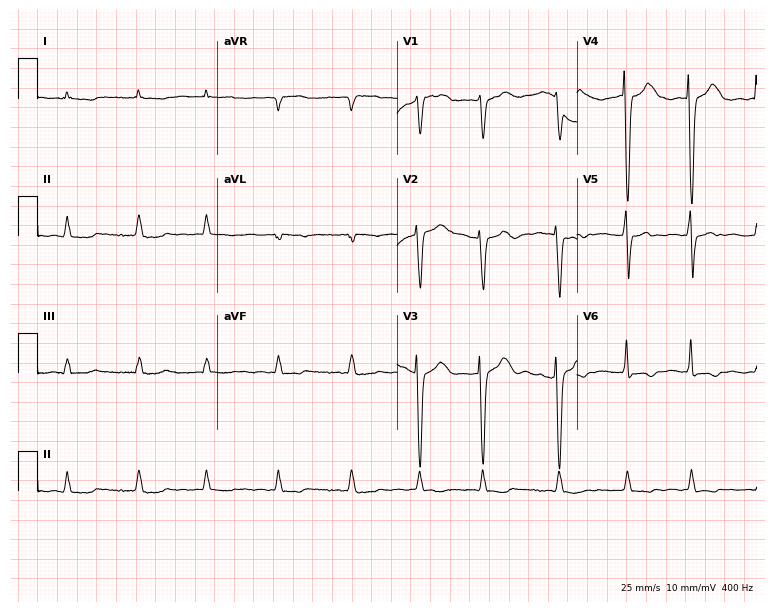
12-lead ECG from a 76-year-old female patient. Findings include atrial fibrillation.